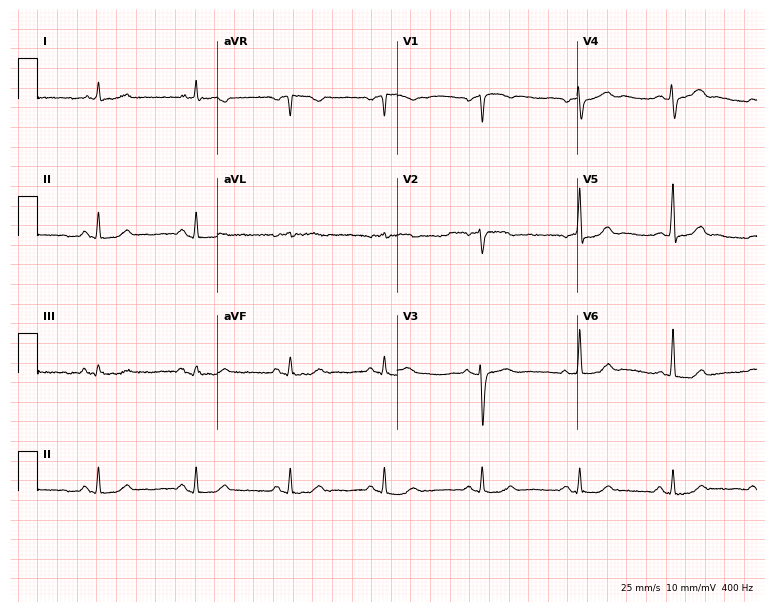
Resting 12-lead electrocardiogram (7.3-second recording at 400 Hz). Patient: a female, 57 years old. Read as a normal ECG.